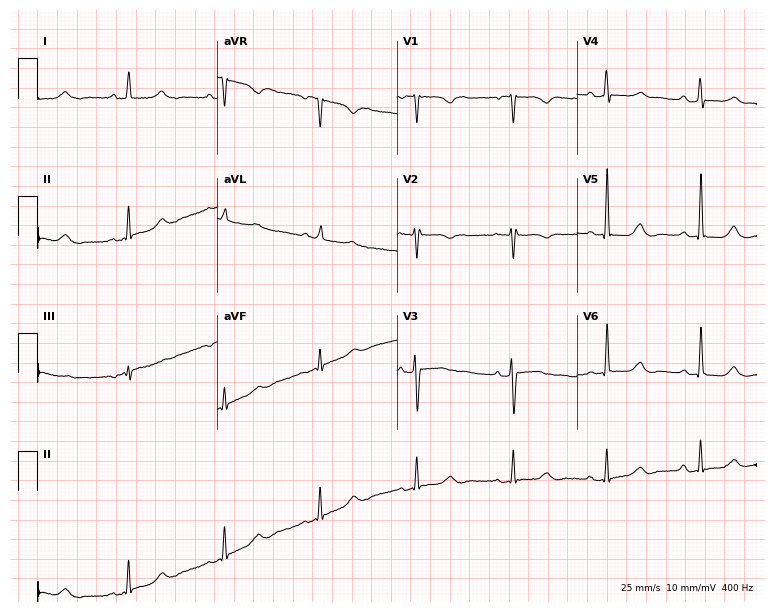
Resting 12-lead electrocardiogram (7.3-second recording at 400 Hz). Patient: a male, 71 years old. None of these six findings is recorded: first-degree AV block, right bundle branch block, left bundle branch block, sinus bradycardia, atrial fibrillation, sinus tachycardia.